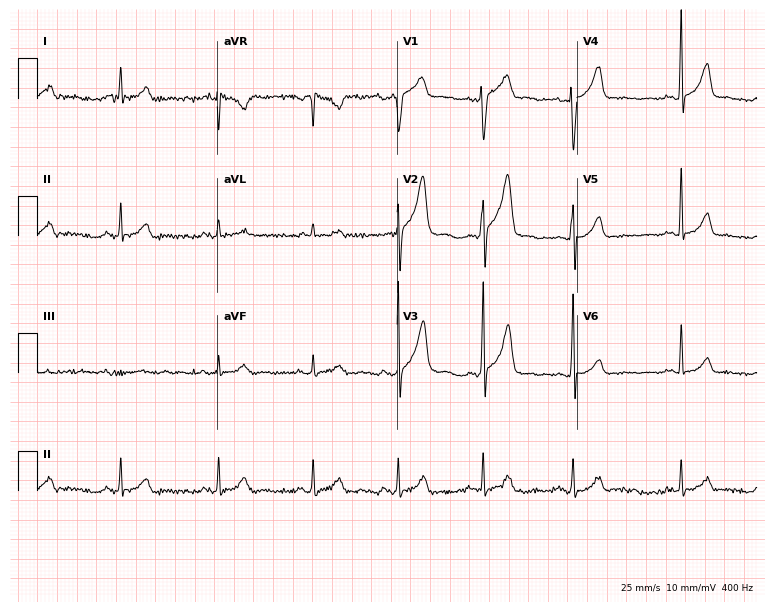
Electrocardiogram (7.3-second recording at 400 Hz), a man, 39 years old. Of the six screened findings (first-degree AV block, right bundle branch block (RBBB), left bundle branch block (LBBB), sinus bradycardia, atrial fibrillation (AF), sinus tachycardia), none is recorded. Findings outside these six are not listed.